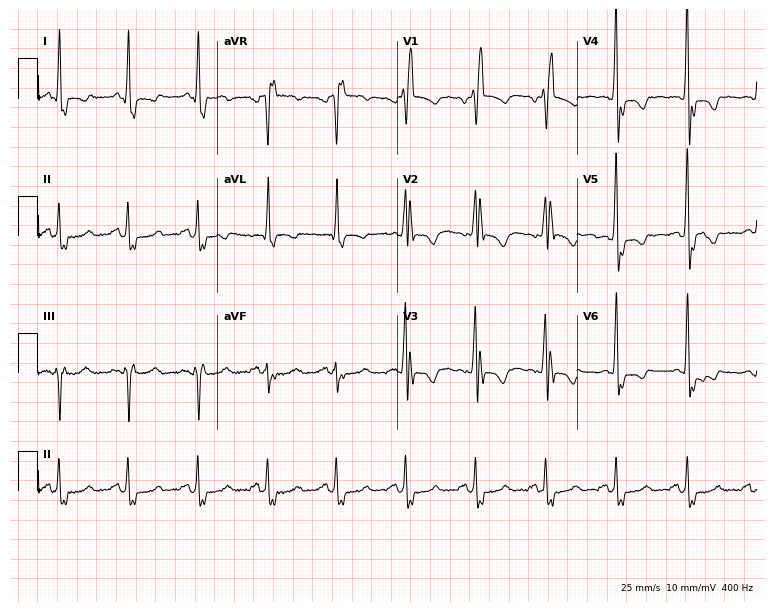
Electrocardiogram (7.3-second recording at 400 Hz), a female patient, 65 years old. Interpretation includes right bundle branch block.